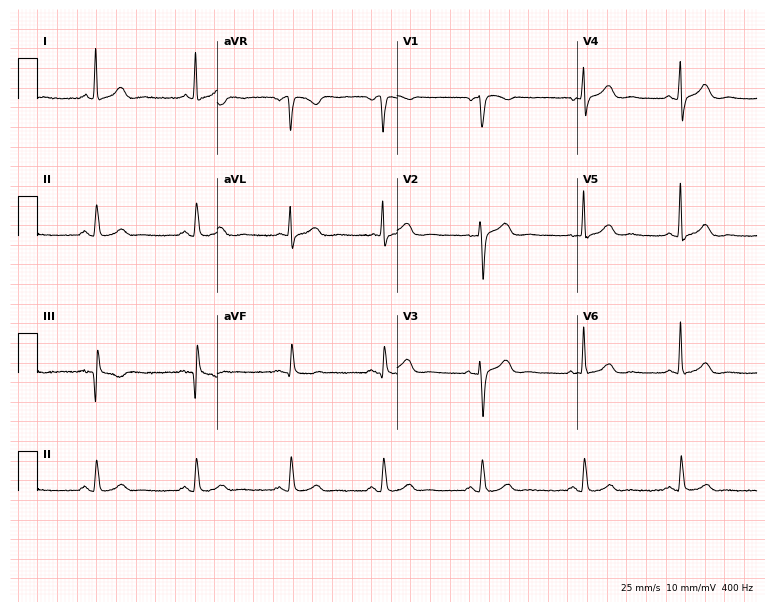
Resting 12-lead electrocardiogram. Patient: a female, 55 years old. Read as a normal ECG.